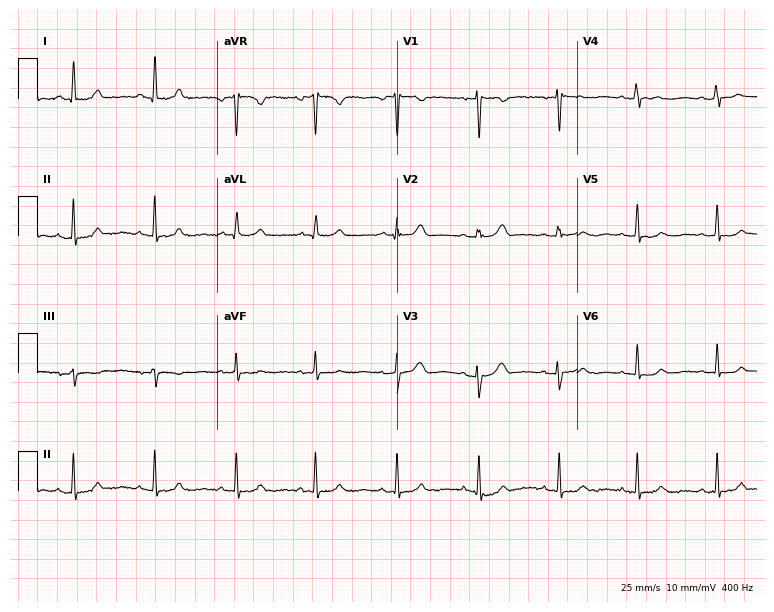
Standard 12-lead ECG recorded from a 50-year-old woman. None of these six findings is recorded: first-degree AV block, right bundle branch block (RBBB), left bundle branch block (LBBB), sinus bradycardia, atrial fibrillation (AF), sinus tachycardia.